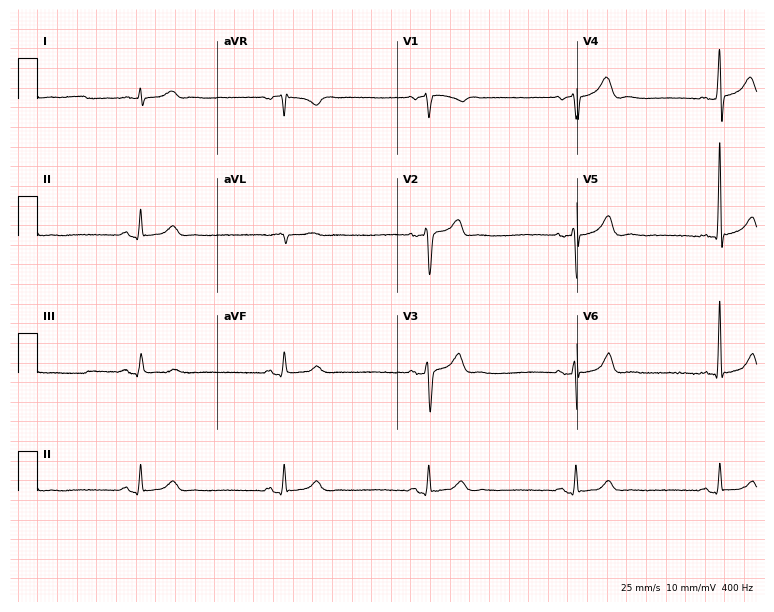
Electrocardiogram, a 74-year-old man. Interpretation includes sinus bradycardia (a sinus rate of 50 beats per minute or less).